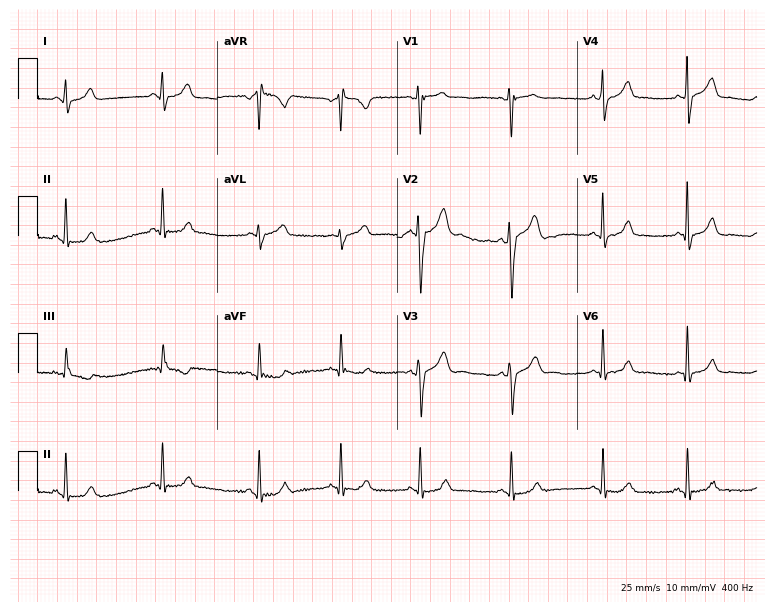
12-lead ECG from a man, 34 years old (7.3-second recording at 400 Hz). Recorded interpretation: within normal limits.